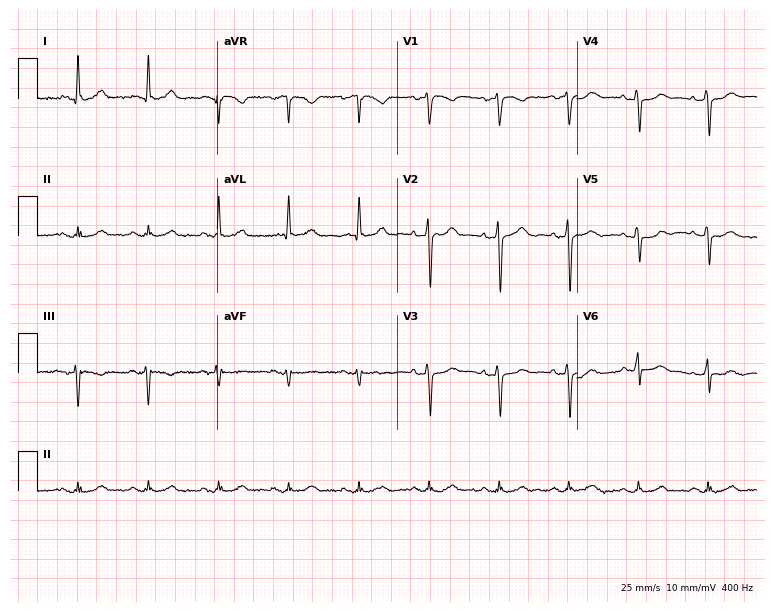
Electrocardiogram (7.3-second recording at 400 Hz), a 79-year-old male. Of the six screened findings (first-degree AV block, right bundle branch block (RBBB), left bundle branch block (LBBB), sinus bradycardia, atrial fibrillation (AF), sinus tachycardia), none is recorded.